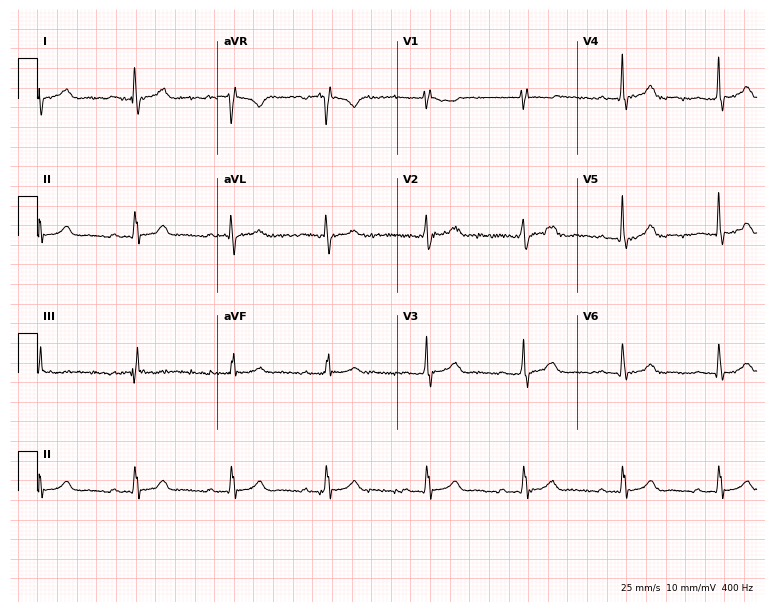
Electrocardiogram (7.3-second recording at 400 Hz), a 37-year-old female. Overall reading on record: normal ECG.